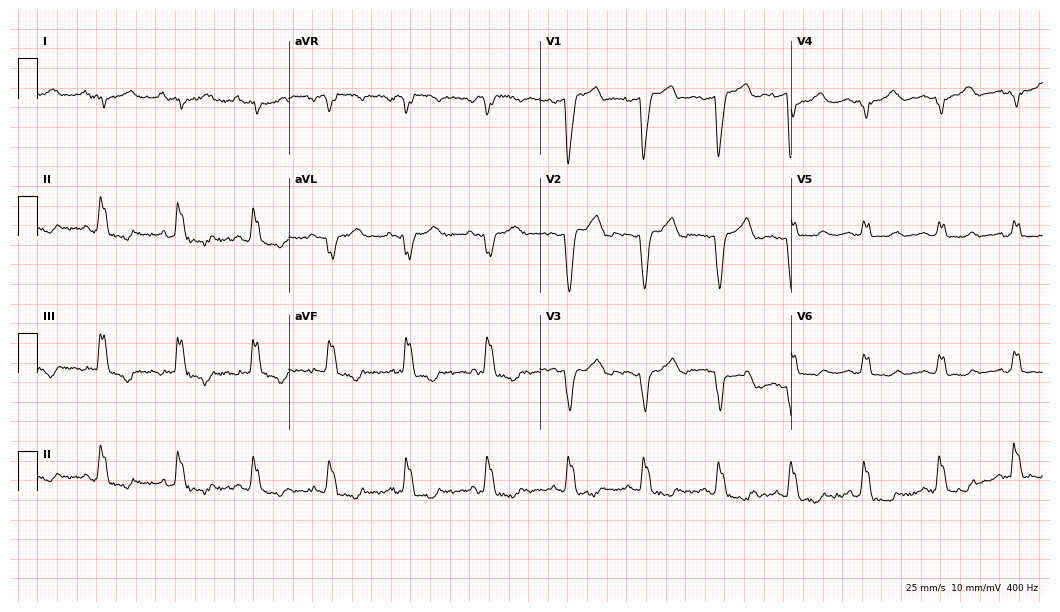
12-lead ECG from a 69-year-old female. Screened for six findings — first-degree AV block, right bundle branch block (RBBB), left bundle branch block (LBBB), sinus bradycardia, atrial fibrillation (AF), sinus tachycardia — none is recorded. Other findings, if any, are not listed.